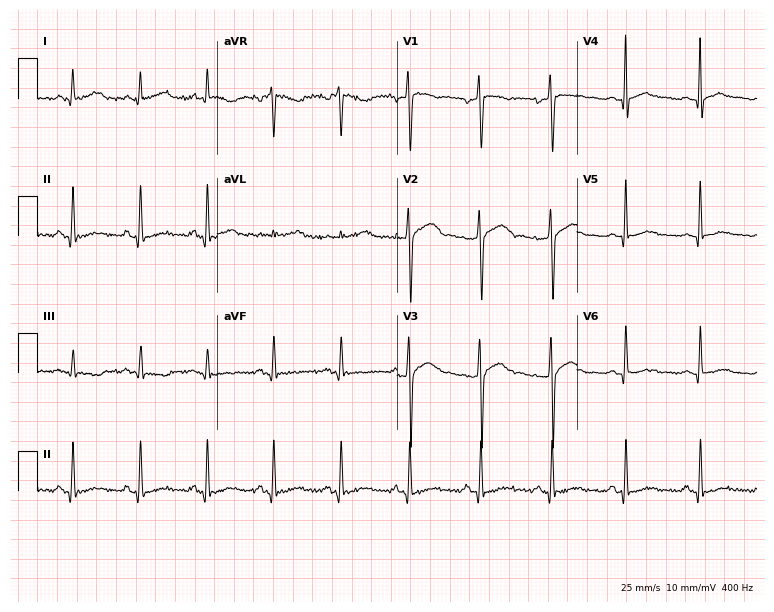
ECG (7.3-second recording at 400 Hz) — a 47-year-old male patient. Screened for six findings — first-degree AV block, right bundle branch block (RBBB), left bundle branch block (LBBB), sinus bradycardia, atrial fibrillation (AF), sinus tachycardia — none is recorded. Other findings, if any, are not listed.